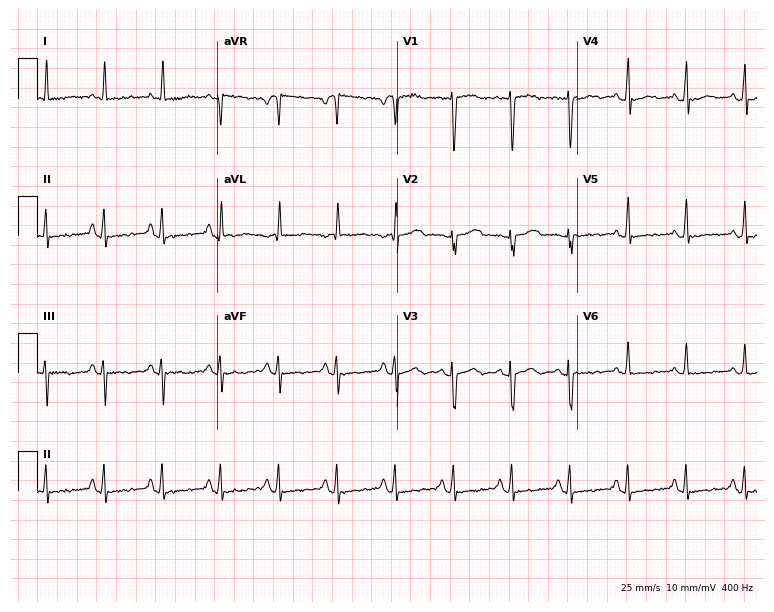
Resting 12-lead electrocardiogram. Patient: a 50-year-old female. The tracing shows sinus tachycardia (a sinus rate of 100 beats per minute or more).